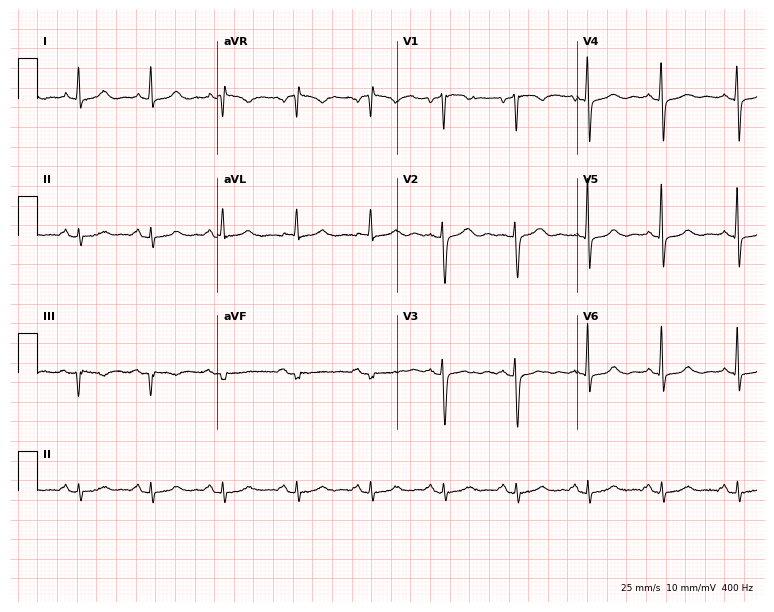
Electrocardiogram (7.3-second recording at 400 Hz), a woman, 64 years old. Overall reading on record: normal ECG.